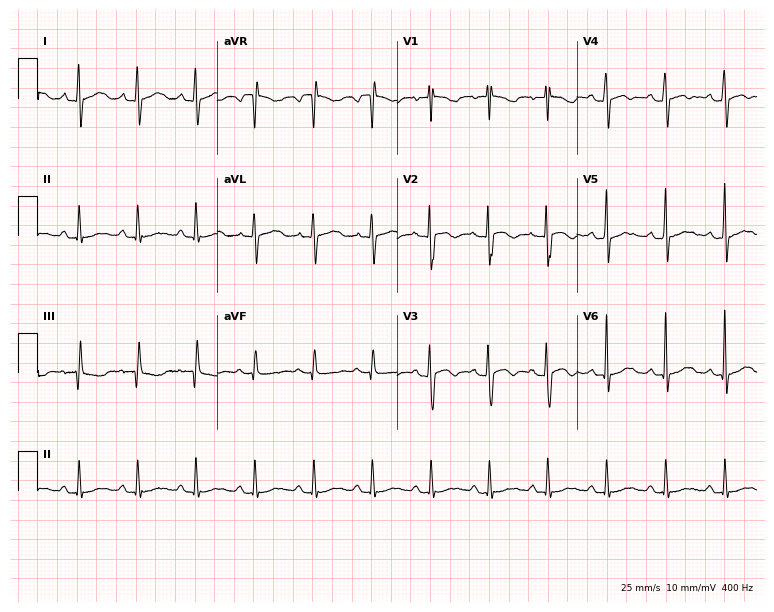
12-lead ECG from a man, 28 years old. No first-degree AV block, right bundle branch block, left bundle branch block, sinus bradycardia, atrial fibrillation or sinus tachycardia recorded for this tracing. Only these six findings were labelled.